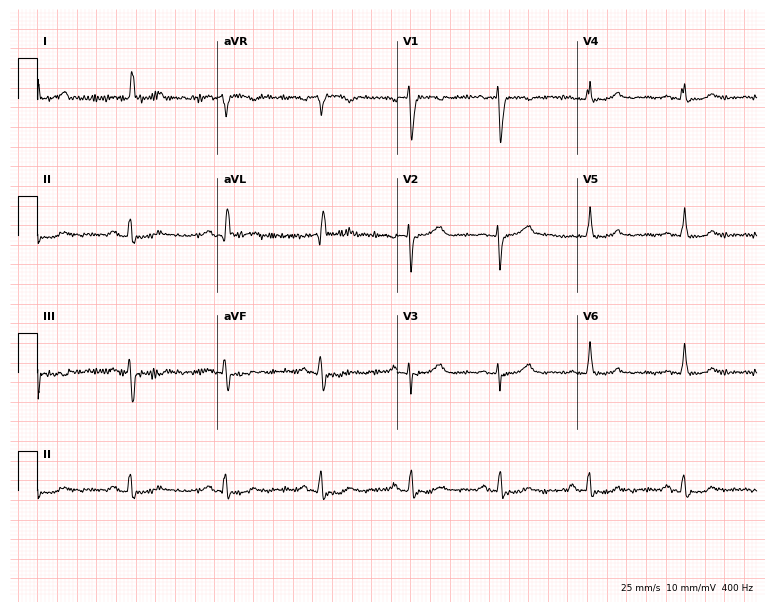
Standard 12-lead ECG recorded from a woman, 75 years old. None of these six findings is recorded: first-degree AV block, right bundle branch block, left bundle branch block, sinus bradycardia, atrial fibrillation, sinus tachycardia.